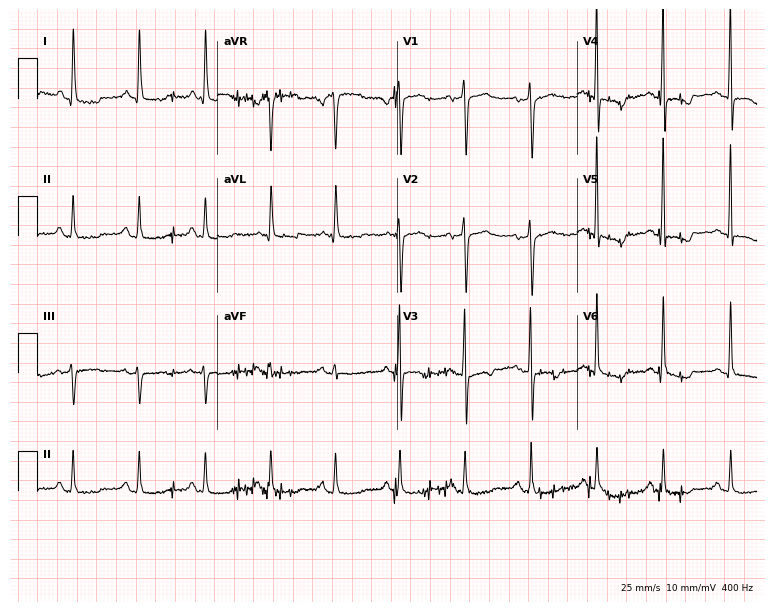
12-lead ECG (7.3-second recording at 400 Hz) from a 77-year-old female. Screened for six findings — first-degree AV block, right bundle branch block, left bundle branch block, sinus bradycardia, atrial fibrillation, sinus tachycardia — none is recorded. Only these six findings were labelled.